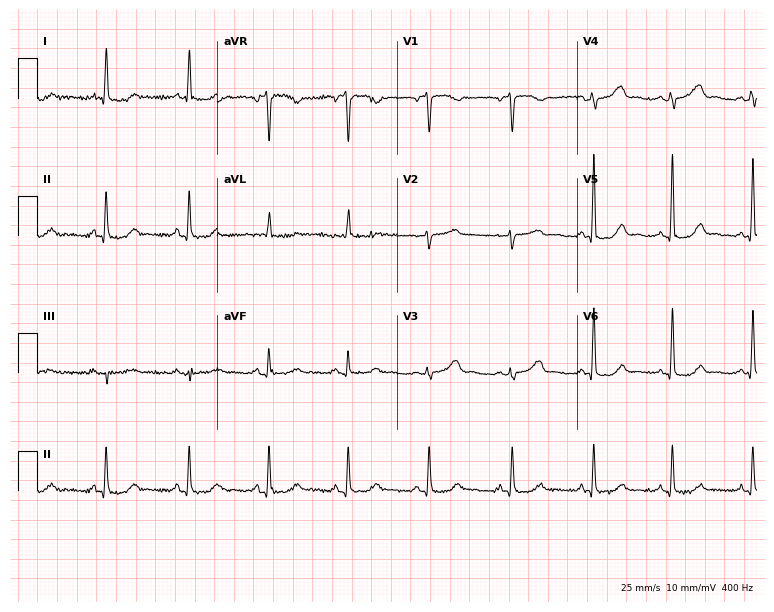
Resting 12-lead electrocardiogram (7.3-second recording at 400 Hz). Patient: a 68-year-old woman. None of these six findings is recorded: first-degree AV block, right bundle branch block, left bundle branch block, sinus bradycardia, atrial fibrillation, sinus tachycardia. Other findings, if any, are not listed.